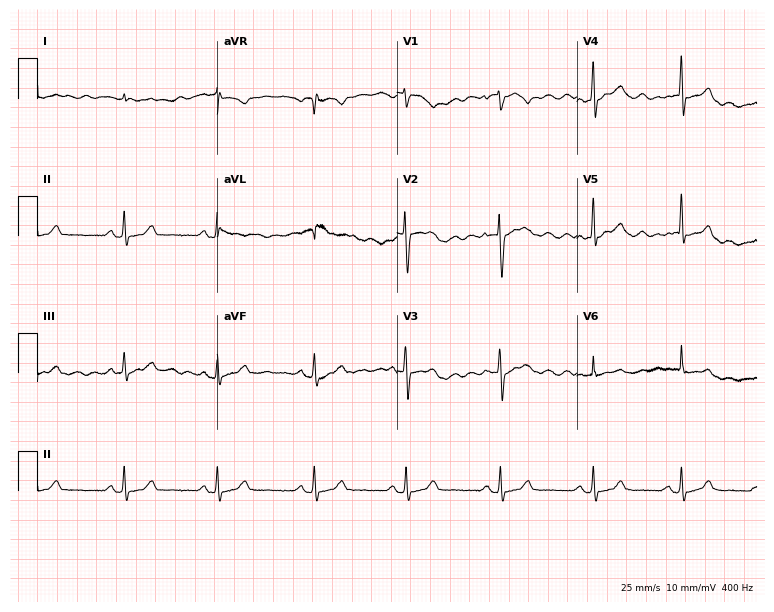
Resting 12-lead electrocardiogram (7.3-second recording at 400 Hz). Patient: a female, 41 years old. Read as a normal ECG.